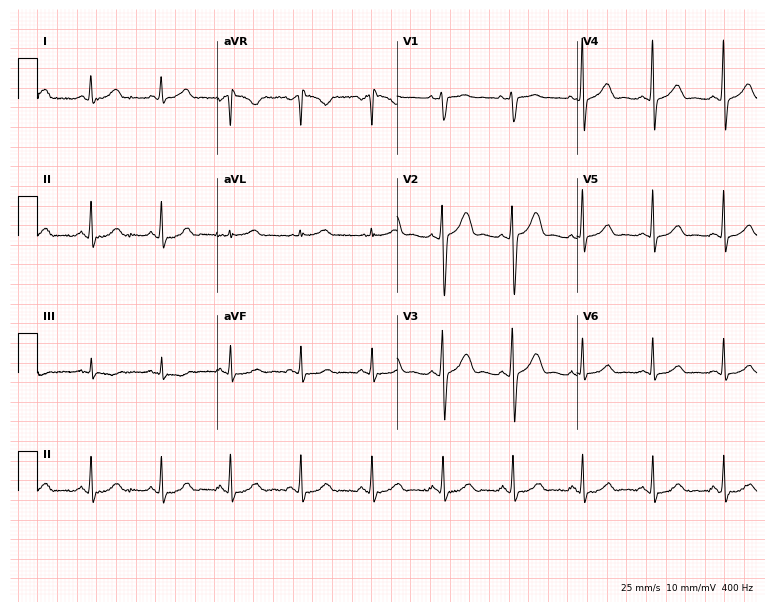
ECG — a 40-year-old female patient. Screened for six findings — first-degree AV block, right bundle branch block (RBBB), left bundle branch block (LBBB), sinus bradycardia, atrial fibrillation (AF), sinus tachycardia — none is recorded. Only these six findings were labelled.